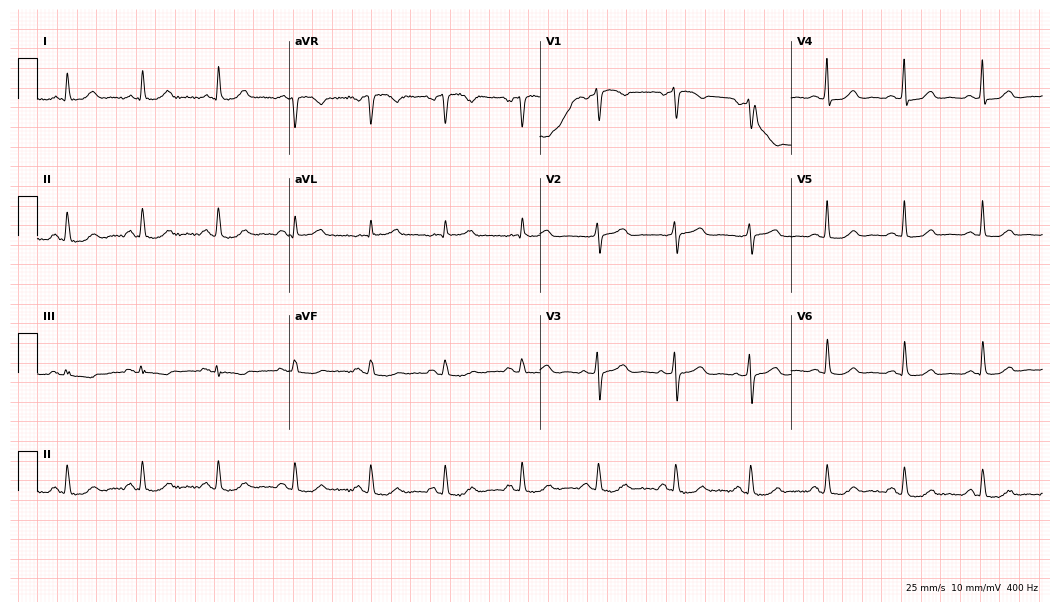
Electrocardiogram, a 71-year-old woman. Overall reading on record: normal ECG.